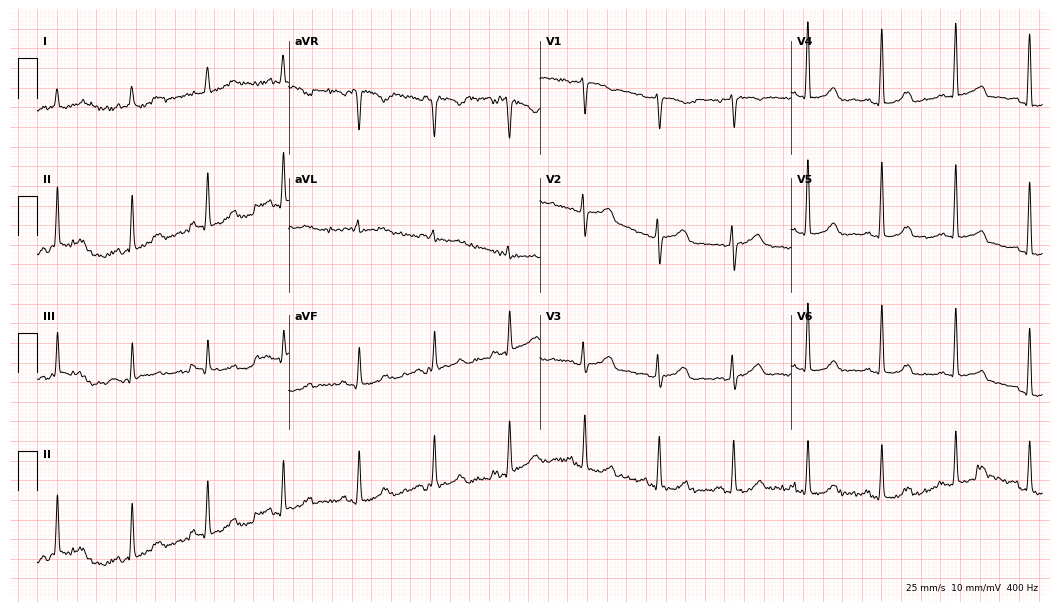
12-lead ECG from a female patient, 64 years old (10.2-second recording at 400 Hz). No first-degree AV block, right bundle branch block, left bundle branch block, sinus bradycardia, atrial fibrillation or sinus tachycardia recorded for this tracing.